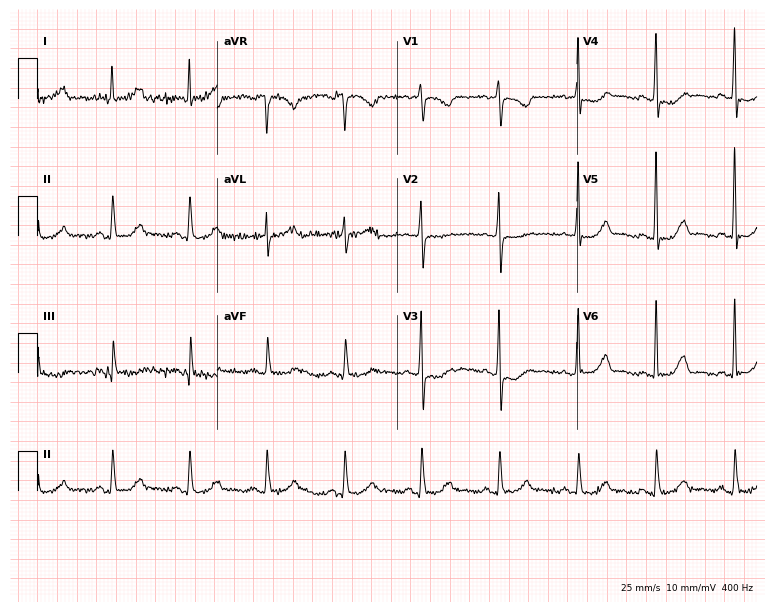
12-lead ECG from a 72-year-old woman (7.3-second recording at 400 Hz). No first-degree AV block, right bundle branch block, left bundle branch block, sinus bradycardia, atrial fibrillation or sinus tachycardia recorded for this tracing.